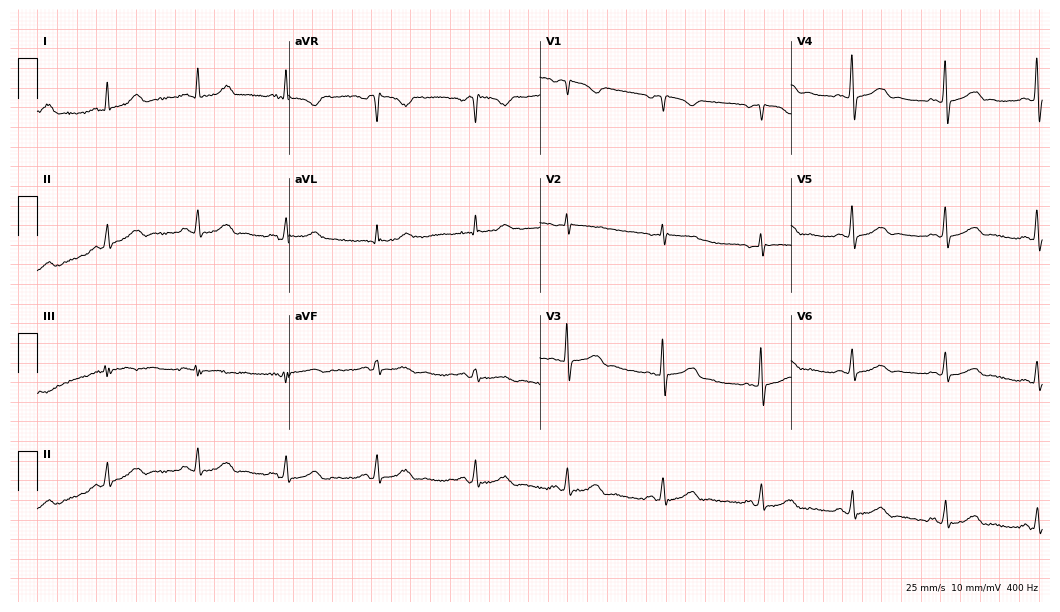
12-lead ECG from a 49-year-old female patient. Labelled as a normal ECG.